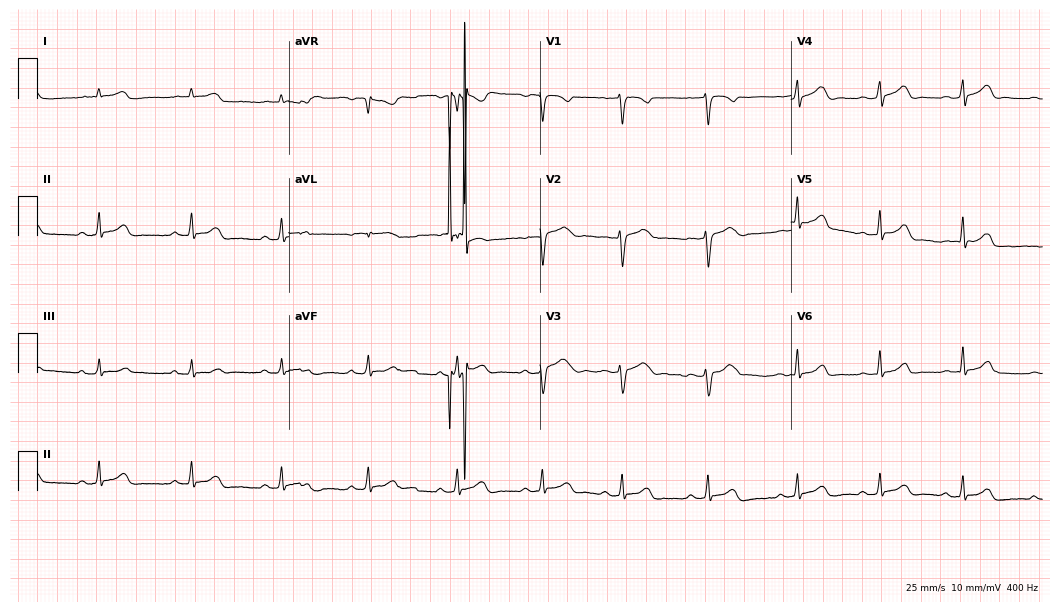
12-lead ECG from a female patient, 26 years old. No first-degree AV block, right bundle branch block, left bundle branch block, sinus bradycardia, atrial fibrillation or sinus tachycardia recorded for this tracing.